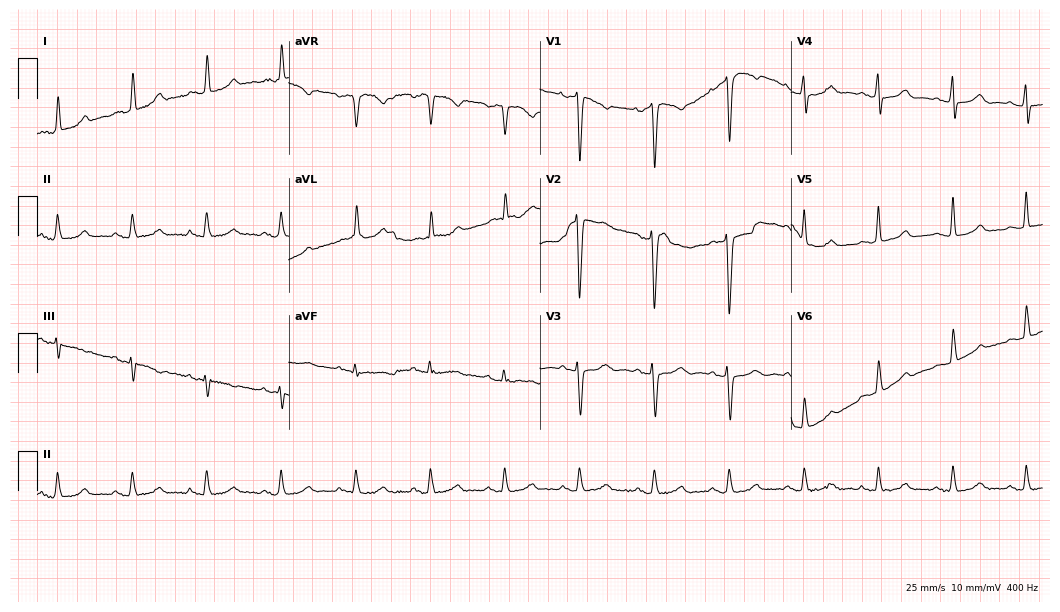
Electrocardiogram (10.2-second recording at 400 Hz), a 73-year-old woman. Of the six screened findings (first-degree AV block, right bundle branch block, left bundle branch block, sinus bradycardia, atrial fibrillation, sinus tachycardia), none is recorded.